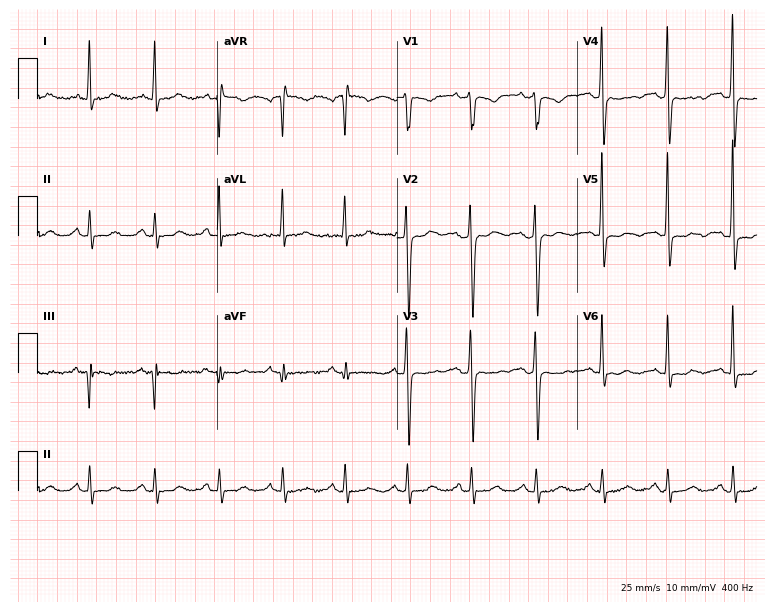
12-lead ECG from a 61-year-old female. No first-degree AV block, right bundle branch block, left bundle branch block, sinus bradycardia, atrial fibrillation or sinus tachycardia recorded for this tracing. Findings outside these six are not listed.